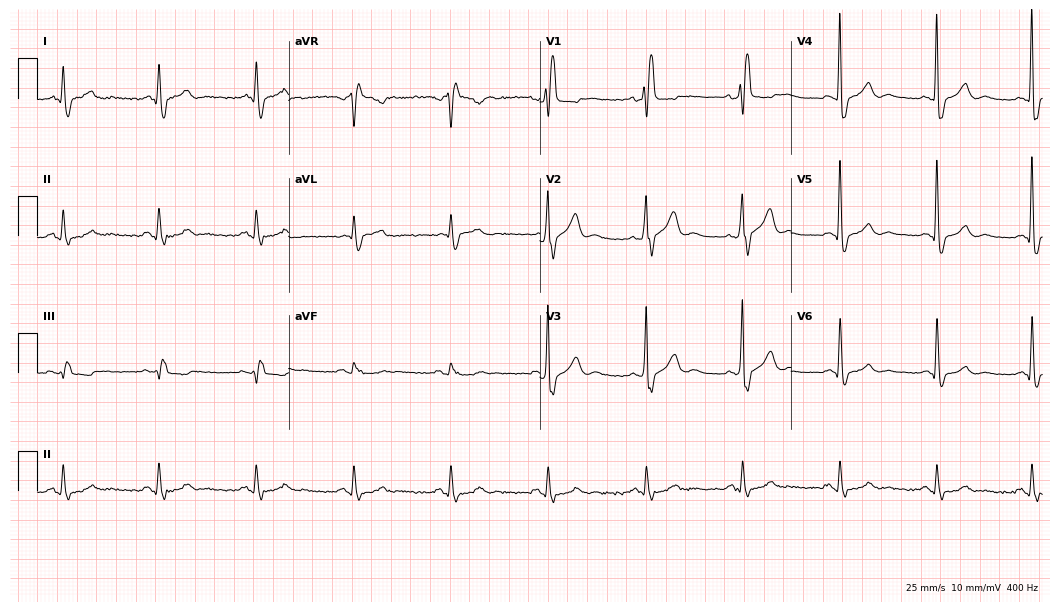
Electrocardiogram (10.2-second recording at 400 Hz), a 64-year-old male. Interpretation includes right bundle branch block (RBBB).